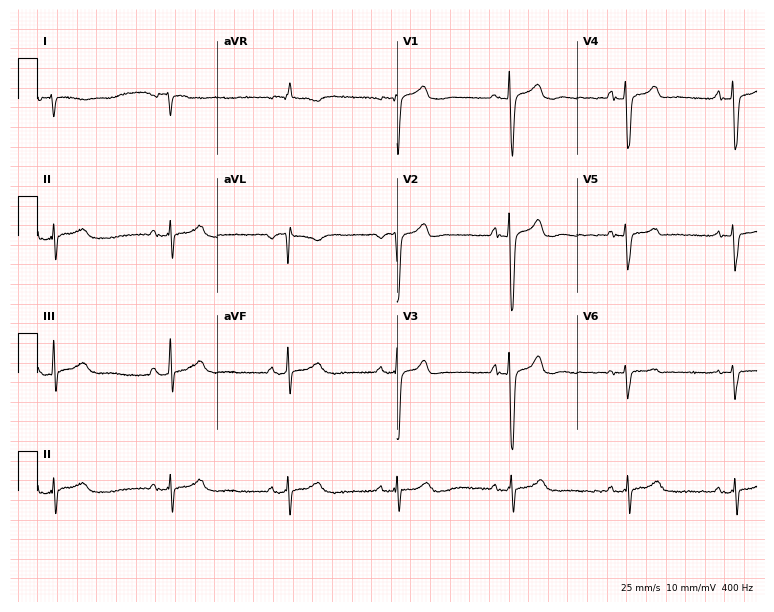
12-lead ECG from a 62-year-old male patient. No first-degree AV block, right bundle branch block, left bundle branch block, sinus bradycardia, atrial fibrillation or sinus tachycardia recorded for this tracing.